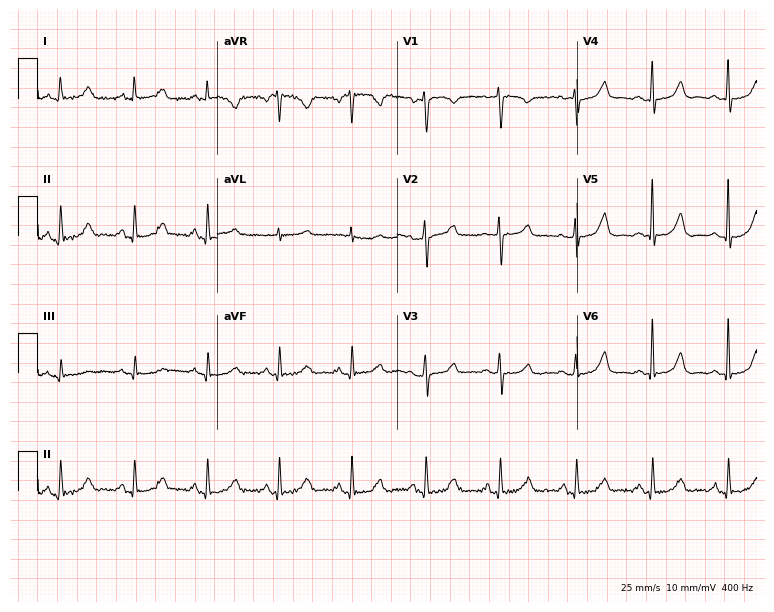
Resting 12-lead electrocardiogram. Patient: a female, 53 years old. Read as a normal ECG.